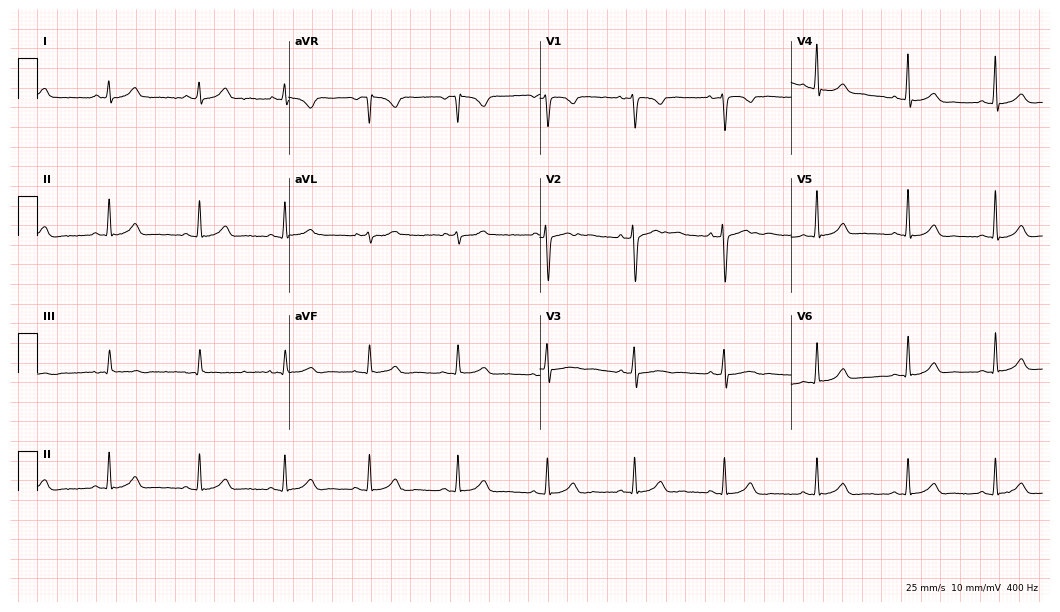
12-lead ECG from a woman, 27 years old (10.2-second recording at 400 Hz). Recorded interpretation: within normal limits.